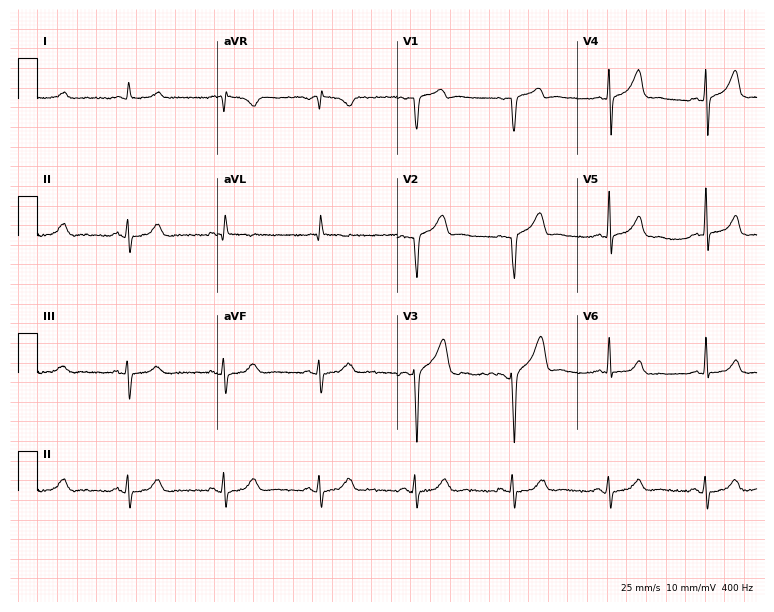
Standard 12-lead ECG recorded from a male, 67 years old. Read as a normal ECG.